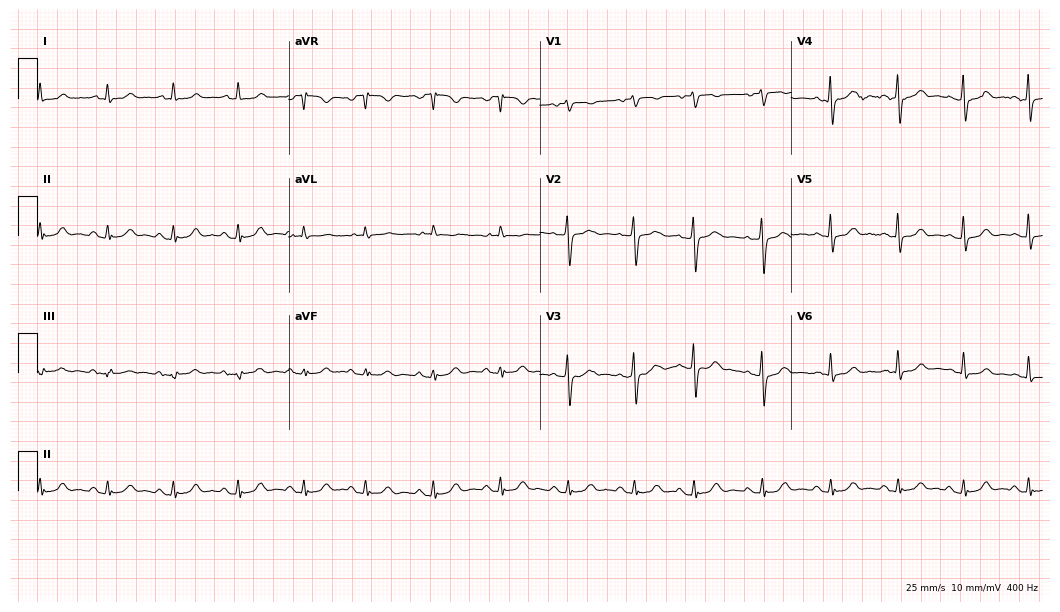
12-lead ECG from an 82-year-old female patient (10.2-second recording at 400 Hz). Recorded interpretation: within normal limits.